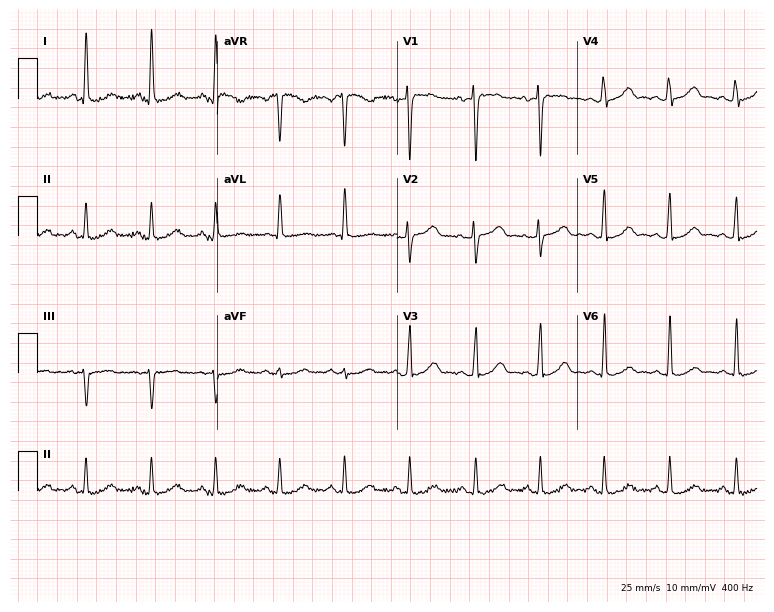
Resting 12-lead electrocardiogram (7.3-second recording at 400 Hz). Patient: a 44-year-old female. None of these six findings is recorded: first-degree AV block, right bundle branch block (RBBB), left bundle branch block (LBBB), sinus bradycardia, atrial fibrillation (AF), sinus tachycardia.